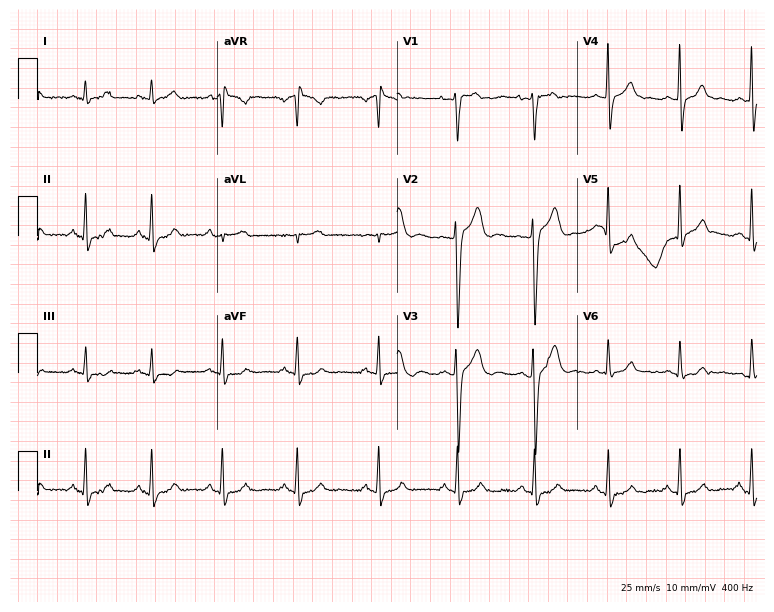
Electrocardiogram, a 23-year-old male patient. Of the six screened findings (first-degree AV block, right bundle branch block, left bundle branch block, sinus bradycardia, atrial fibrillation, sinus tachycardia), none is recorded.